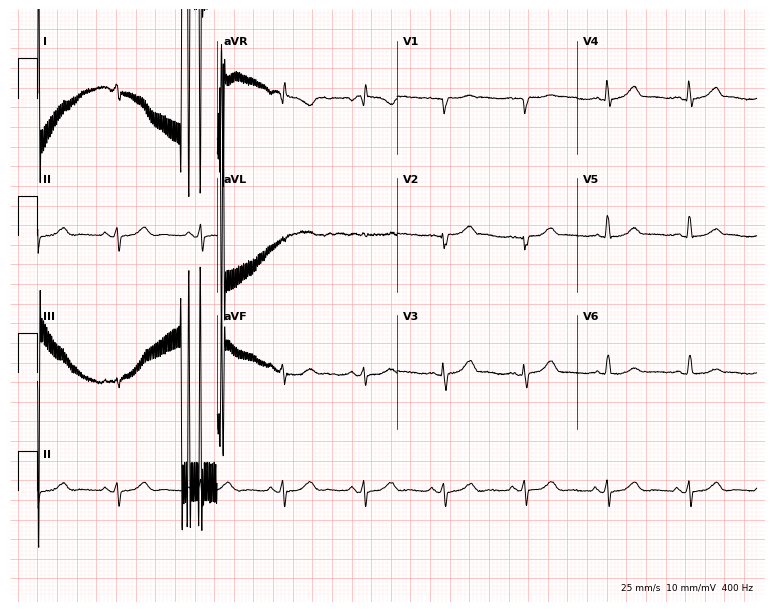
Electrocardiogram, a male, 68 years old. Of the six screened findings (first-degree AV block, right bundle branch block, left bundle branch block, sinus bradycardia, atrial fibrillation, sinus tachycardia), none is recorded. Findings outside these six are not listed.